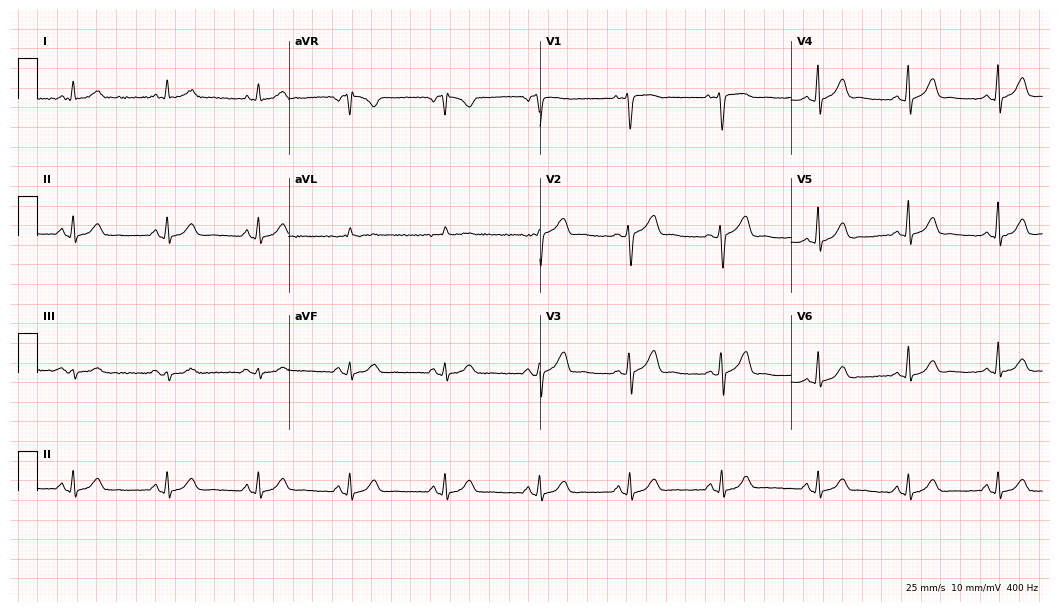
12-lead ECG from a male patient, 40 years old (10.2-second recording at 400 Hz). No first-degree AV block, right bundle branch block (RBBB), left bundle branch block (LBBB), sinus bradycardia, atrial fibrillation (AF) or sinus tachycardia recorded for this tracing. Only these six findings were labelled.